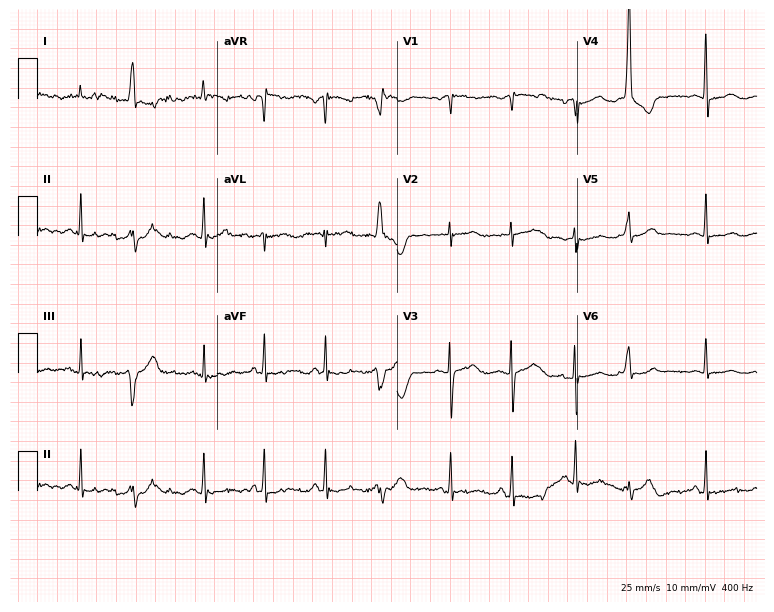
12-lead ECG (7.3-second recording at 400 Hz) from a 70-year-old woman. Screened for six findings — first-degree AV block, right bundle branch block, left bundle branch block, sinus bradycardia, atrial fibrillation, sinus tachycardia — none is recorded. Only these six findings were labelled.